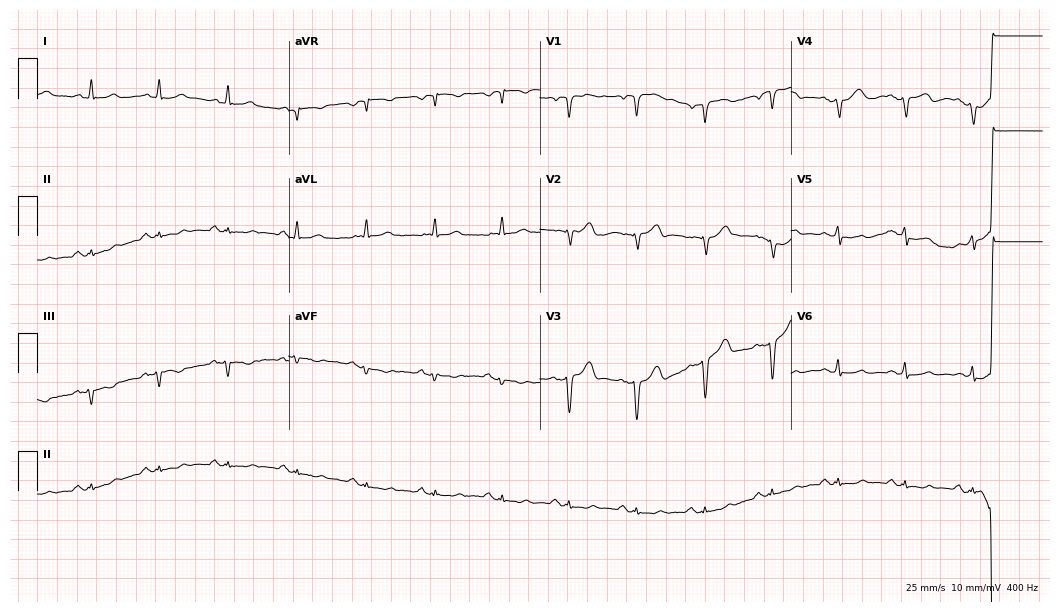
ECG (10.2-second recording at 400 Hz) — a 64-year-old male. Screened for six findings — first-degree AV block, right bundle branch block, left bundle branch block, sinus bradycardia, atrial fibrillation, sinus tachycardia — none is recorded.